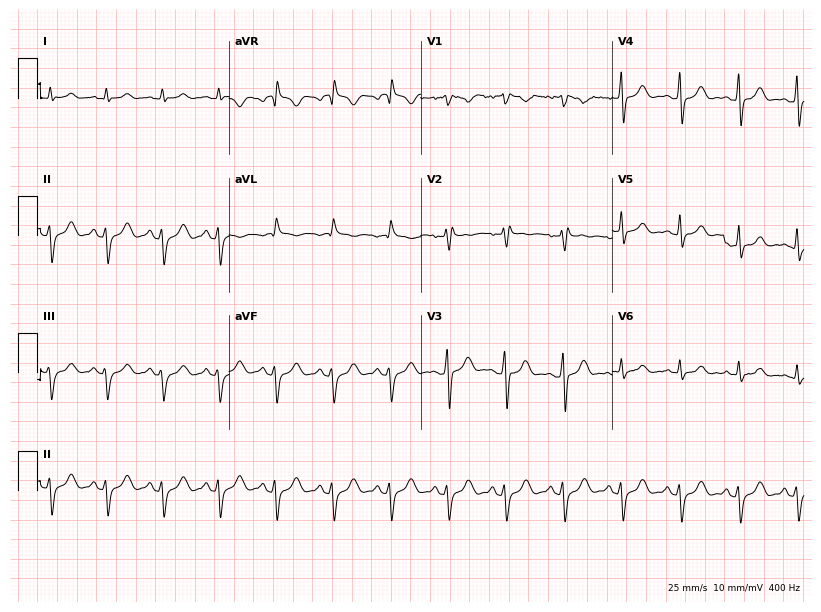
Electrocardiogram (7.8-second recording at 400 Hz), a 43-year-old man. Of the six screened findings (first-degree AV block, right bundle branch block, left bundle branch block, sinus bradycardia, atrial fibrillation, sinus tachycardia), none is recorded.